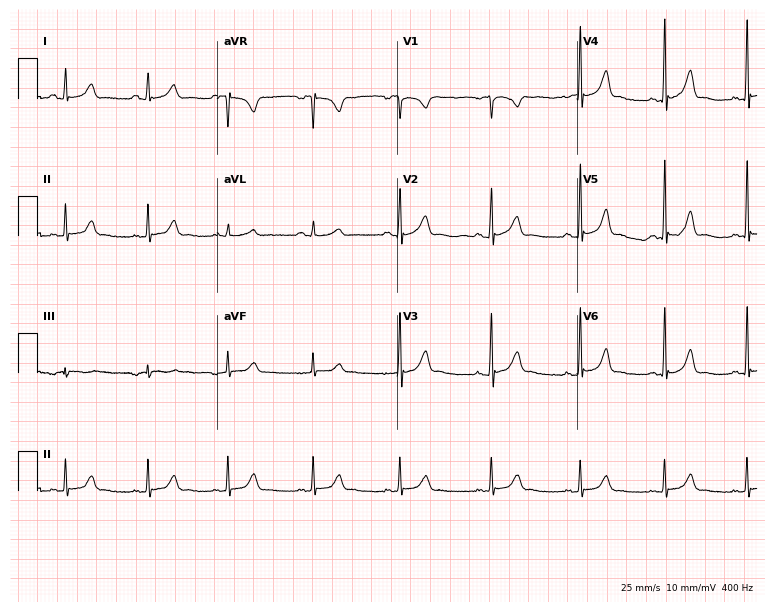
Electrocardiogram (7.3-second recording at 400 Hz), a female patient, 30 years old. Overall reading on record: normal ECG.